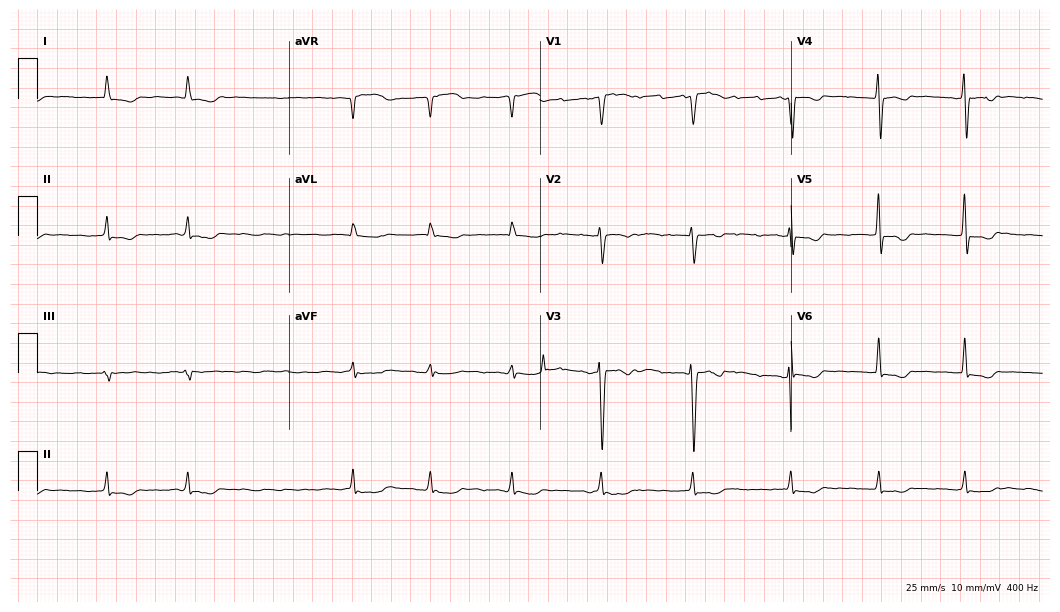
Resting 12-lead electrocardiogram (10.2-second recording at 400 Hz). Patient: a female, 82 years old. The tracing shows atrial fibrillation.